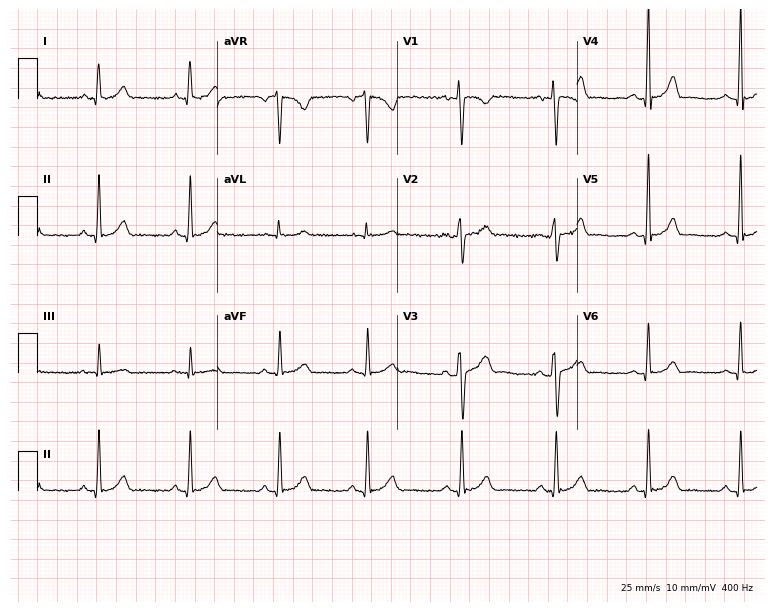
12-lead ECG (7.3-second recording at 400 Hz) from a man, 28 years old. Labelled as a normal ECG.